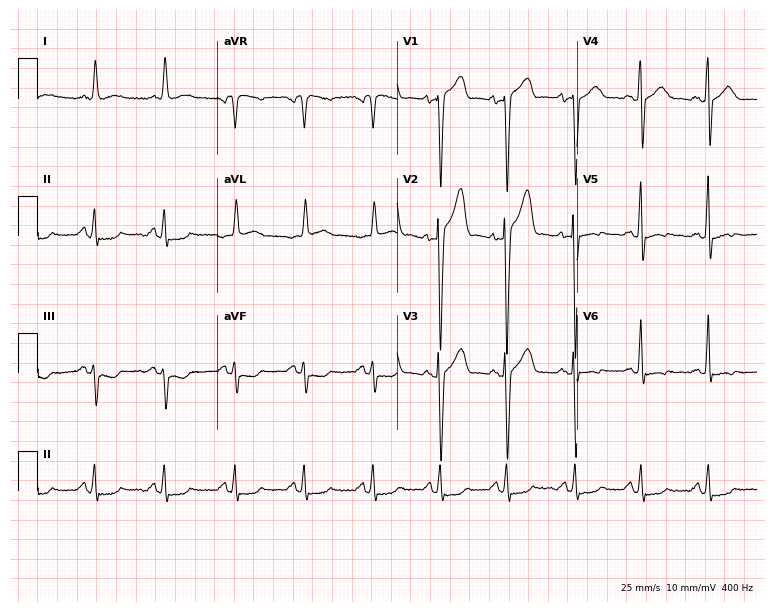
Electrocardiogram, a male patient, 80 years old. Of the six screened findings (first-degree AV block, right bundle branch block, left bundle branch block, sinus bradycardia, atrial fibrillation, sinus tachycardia), none is recorded. Only these six findings were labelled.